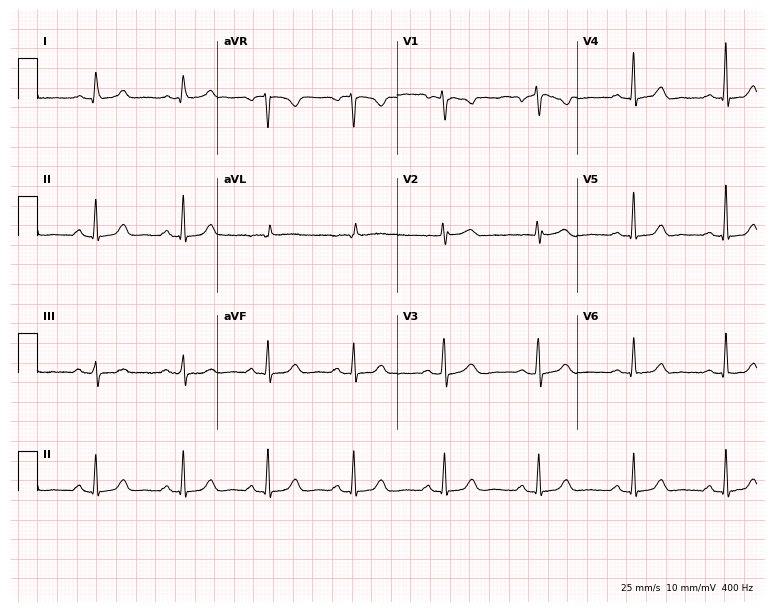
12-lead ECG from a female patient, 62 years old. Recorded interpretation: within normal limits.